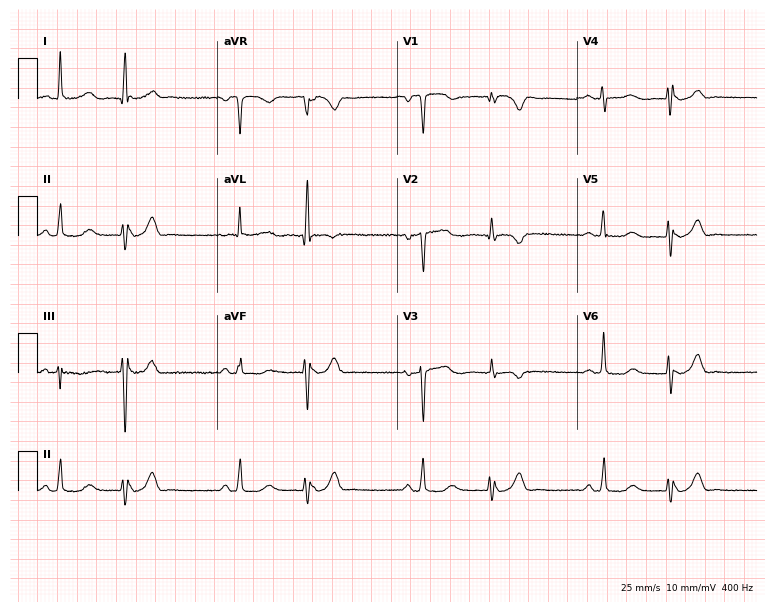
Resting 12-lead electrocardiogram (7.3-second recording at 400 Hz). Patient: a 67-year-old female. Read as a normal ECG.